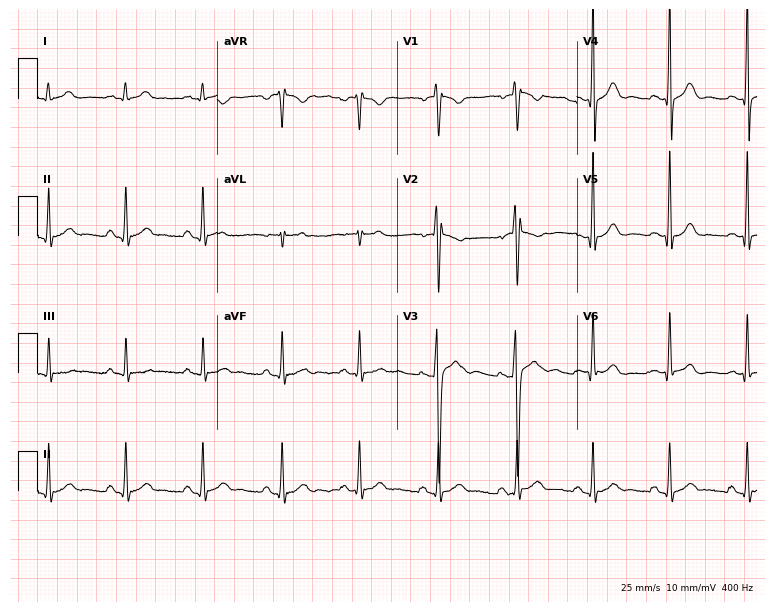
12-lead ECG from a 22-year-old male patient. Recorded interpretation: within normal limits.